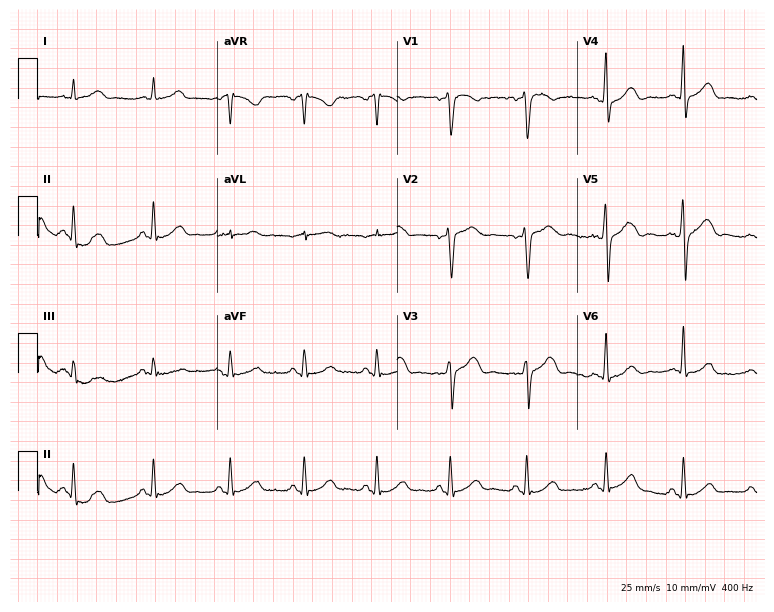
Electrocardiogram, a woman, 51 years old. Overall reading on record: normal ECG.